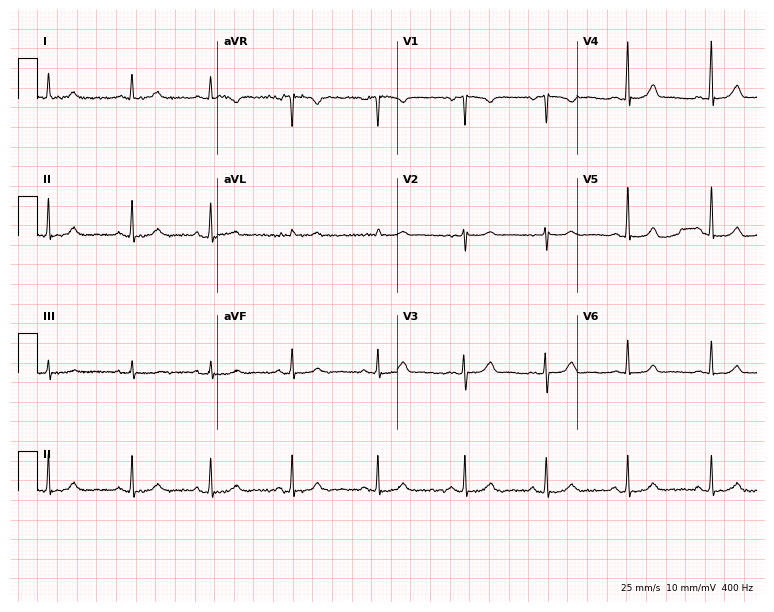
Resting 12-lead electrocardiogram (7.3-second recording at 400 Hz). Patient: a woman, 41 years old. Read as a normal ECG.